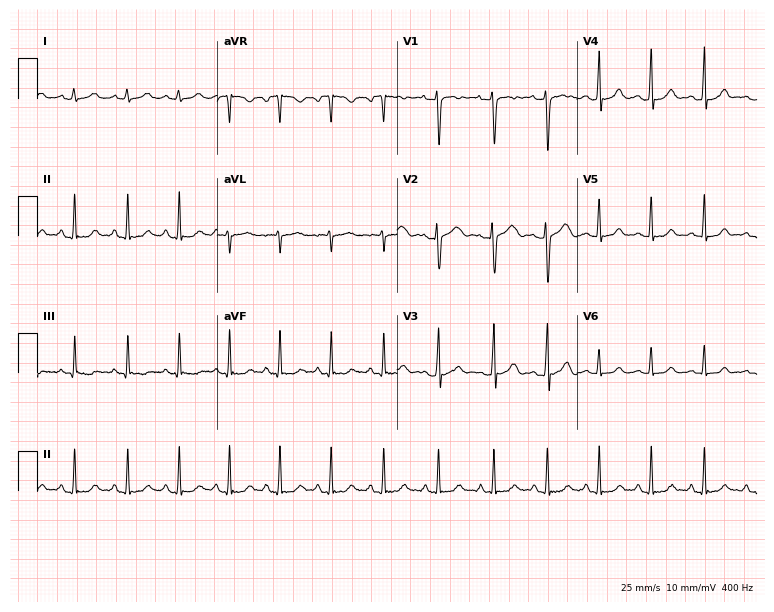
12-lead ECG from a 19-year-old female (7.3-second recording at 400 Hz). Shows sinus tachycardia (a sinus rate of 100 beats per minute or more).